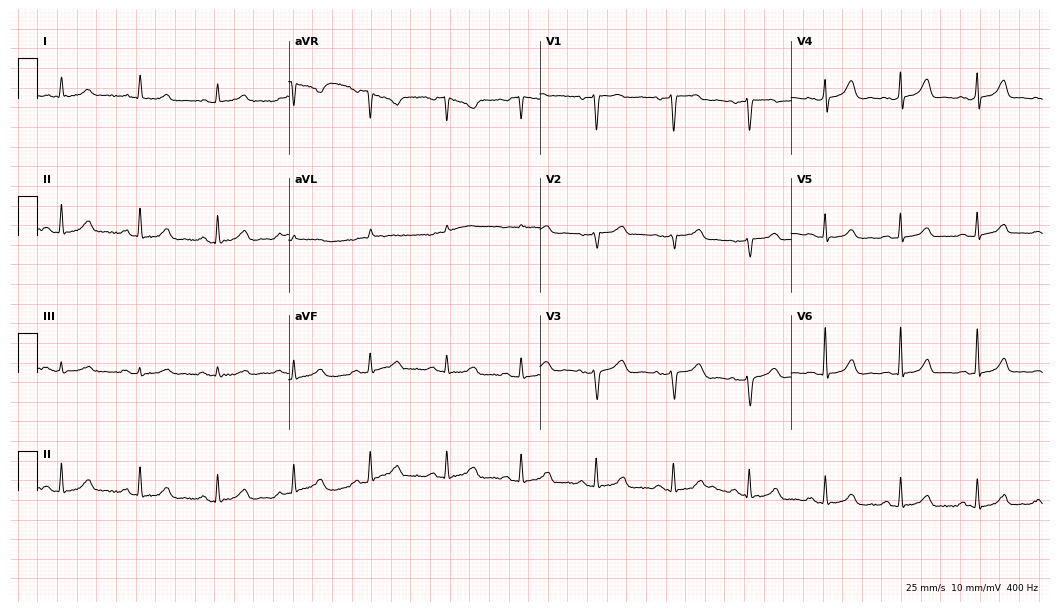
12-lead ECG from a female, 39 years old (10.2-second recording at 400 Hz). No first-degree AV block, right bundle branch block, left bundle branch block, sinus bradycardia, atrial fibrillation or sinus tachycardia recorded for this tracing.